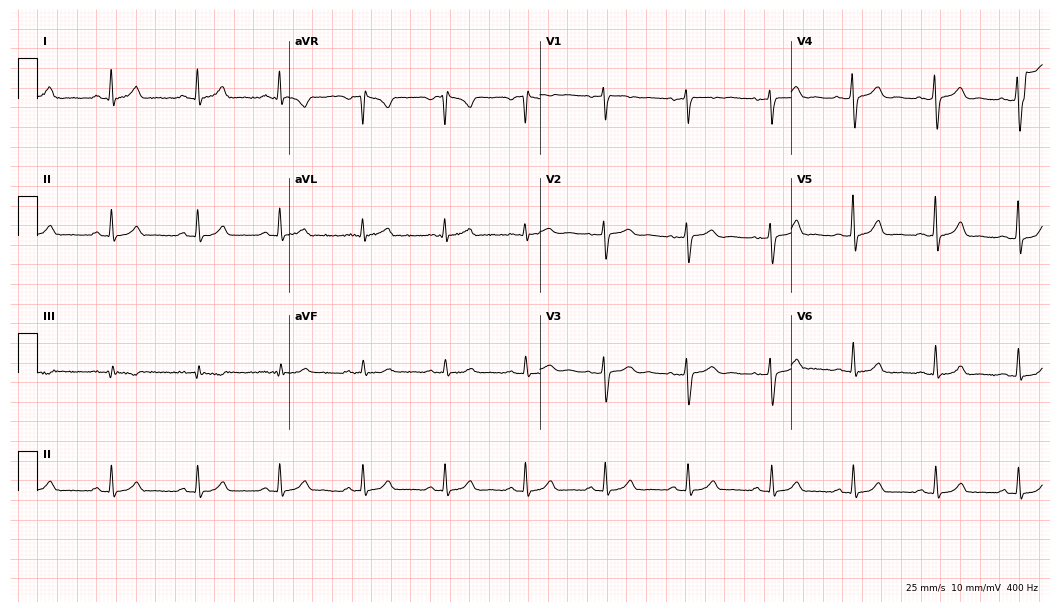
Standard 12-lead ECG recorded from a 36-year-old female. Read as a normal ECG.